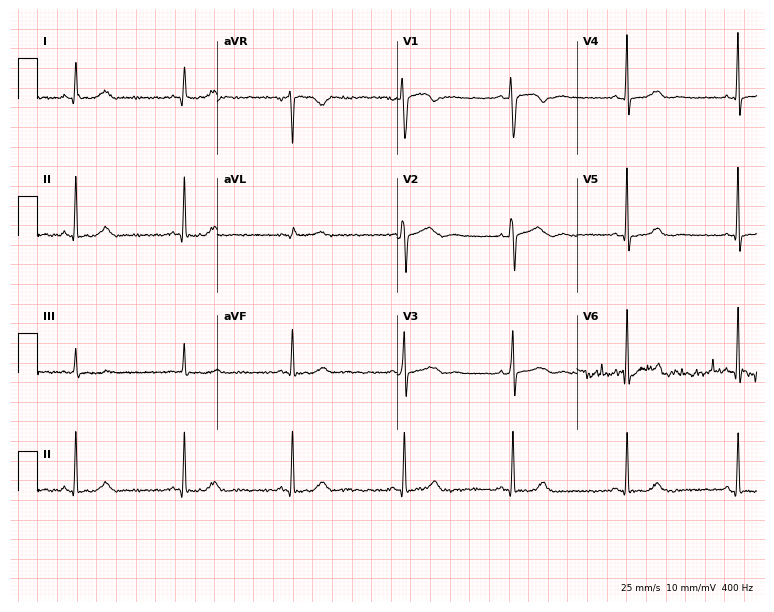
ECG — a female, 35 years old. Labelled as a normal ECG.